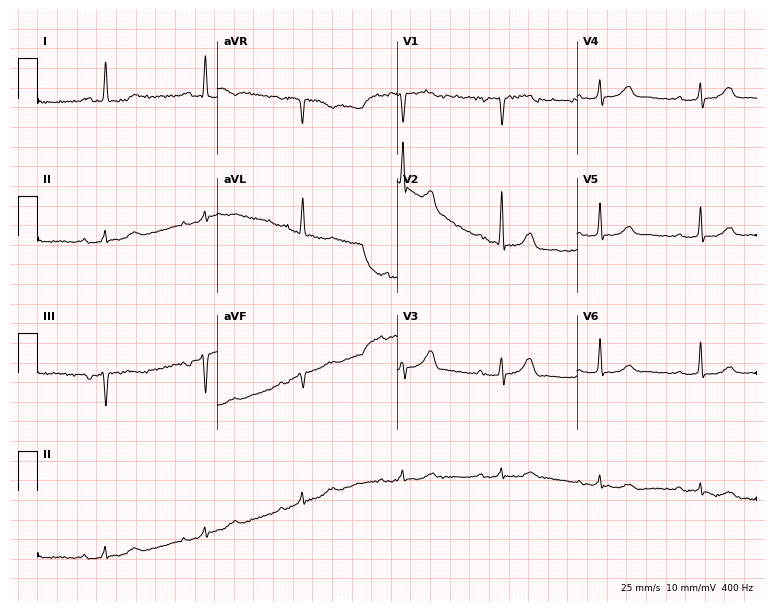
12-lead ECG from a 78-year-old female. No first-degree AV block, right bundle branch block, left bundle branch block, sinus bradycardia, atrial fibrillation or sinus tachycardia recorded for this tracing.